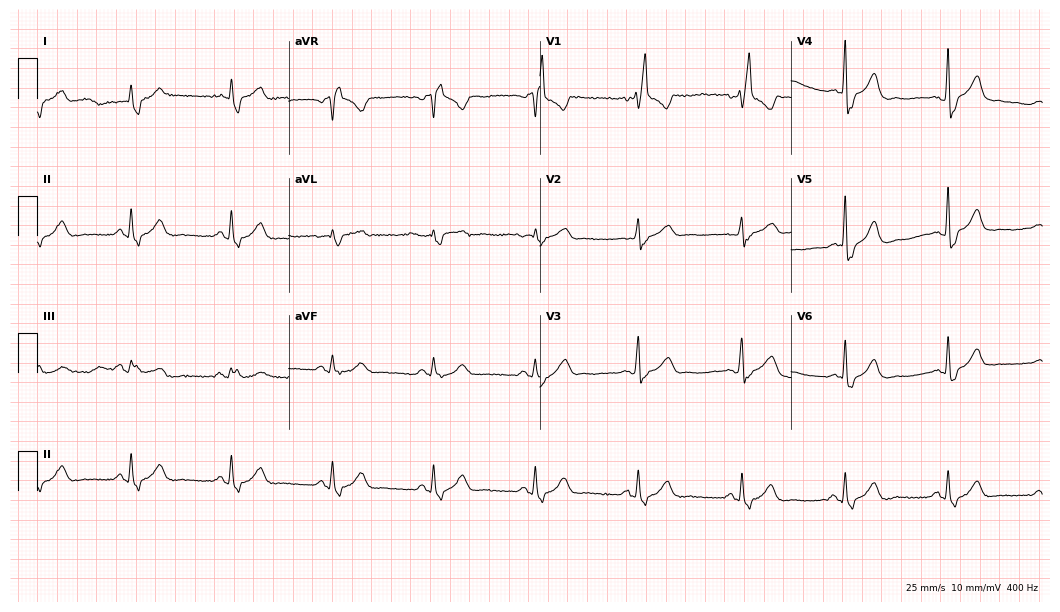
Resting 12-lead electrocardiogram. Patient: a male, 69 years old. The tracing shows right bundle branch block.